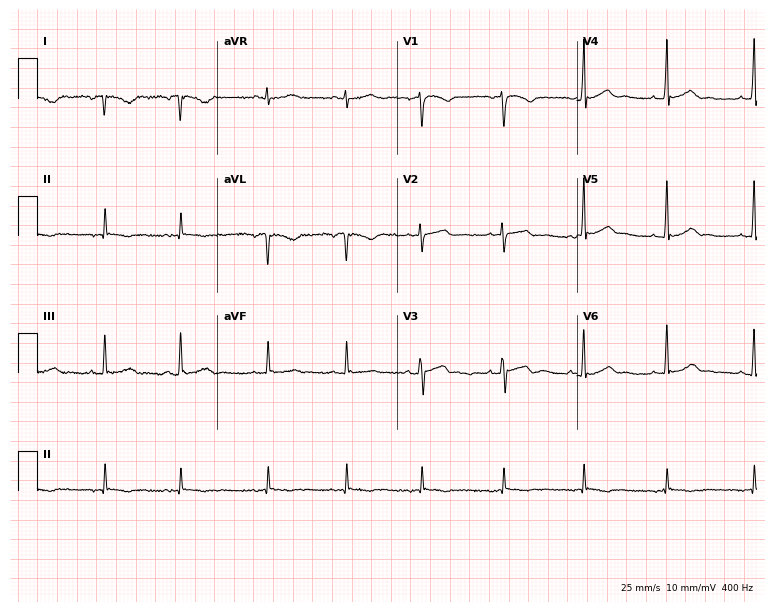
Standard 12-lead ECG recorded from a 24-year-old female (7.3-second recording at 400 Hz). None of these six findings is recorded: first-degree AV block, right bundle branch block, left bundle branch block, sinus bradycardia, atrial fibrillation, sinus tachycardia.